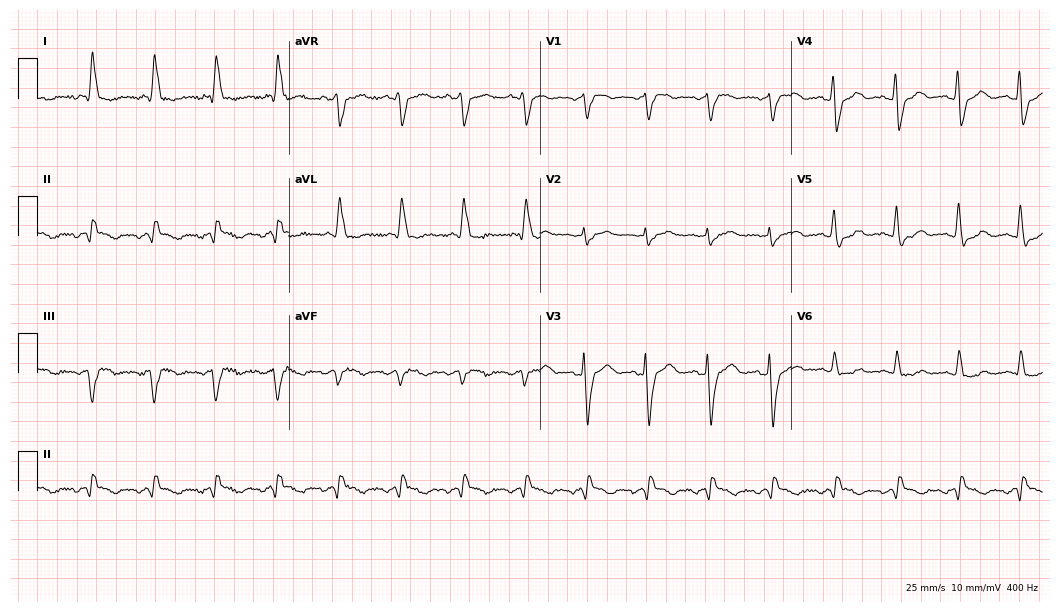
12-lead ECG (10.2-second recording at 400 Hz) from a female, 73 years old. Screened for six findings — first-degree AV block, right bundle branch block, left bundle branch block, sinus bradycardia, atrial fibrillation, sinus tachycardia — none is recorded.